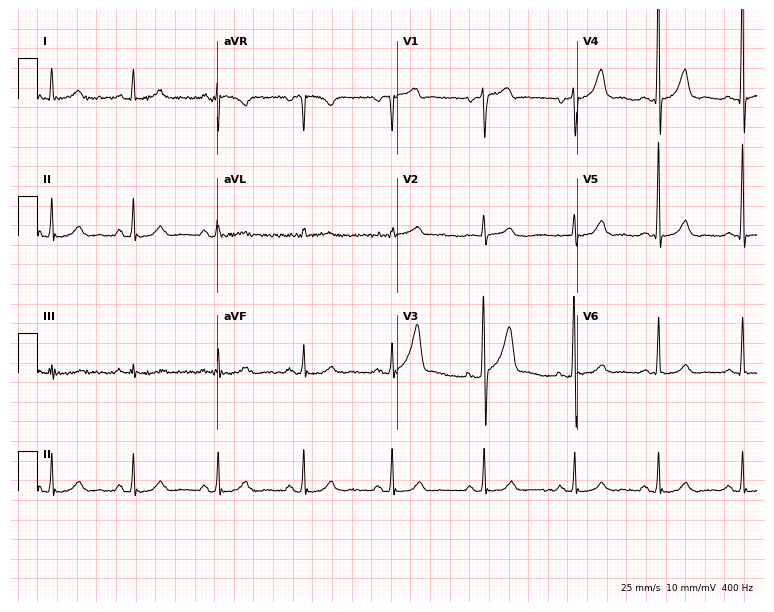
Resting 12-lead electrocardiogram (7.3-second recording at 400 Hz). Patient: a man, 56 years old. Read as a normal ECG.